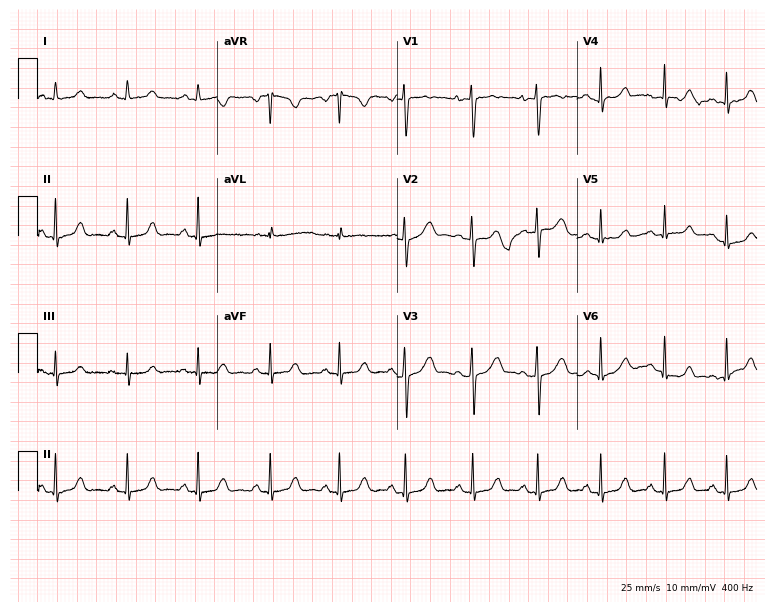
ECG — a 26-year-old woman. Screened for six findings — first-degree AV block, right bundle branch block, left bundle branch block, sinus bradycardia, atrial fibrillation, sinus tachycardia — none is recorded.